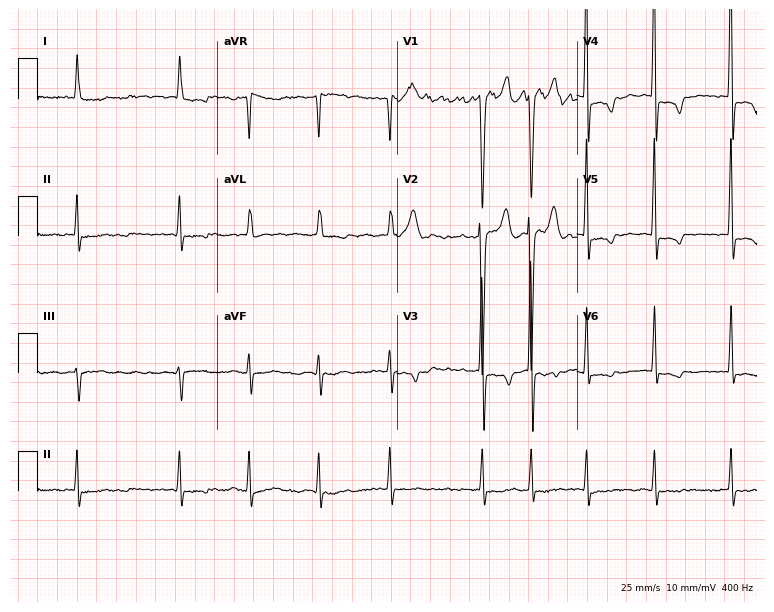
Resting 12-lead electrocardiogram. Patient: a 77-year-old female. The tracing shows atrial fibrillation (AF).